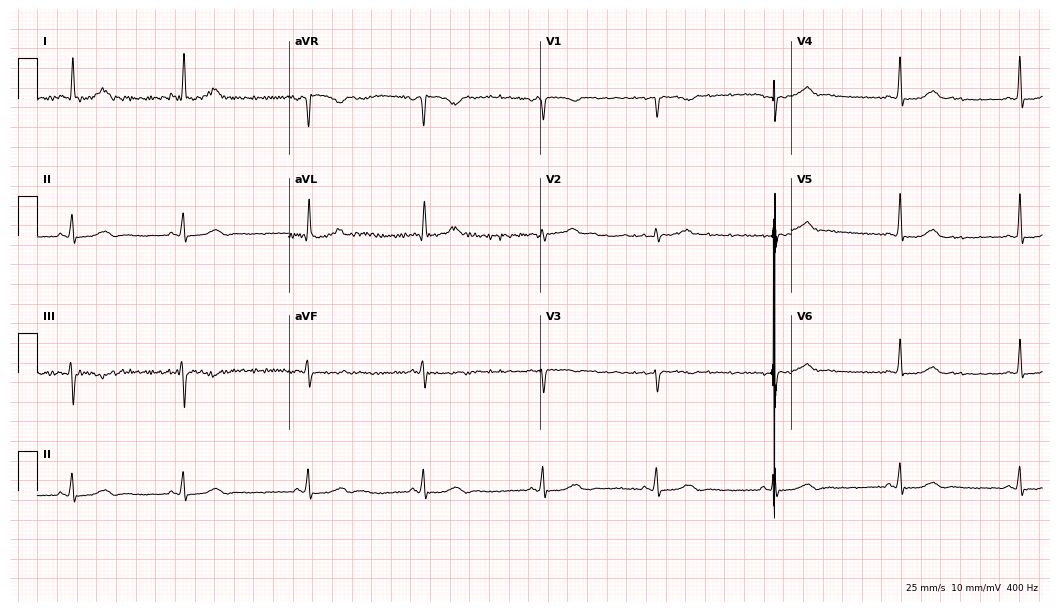
12-lead ECG (10.2-second recording at 400 Hz) from a 48-year-old woman. Labelled as a normal ECG.